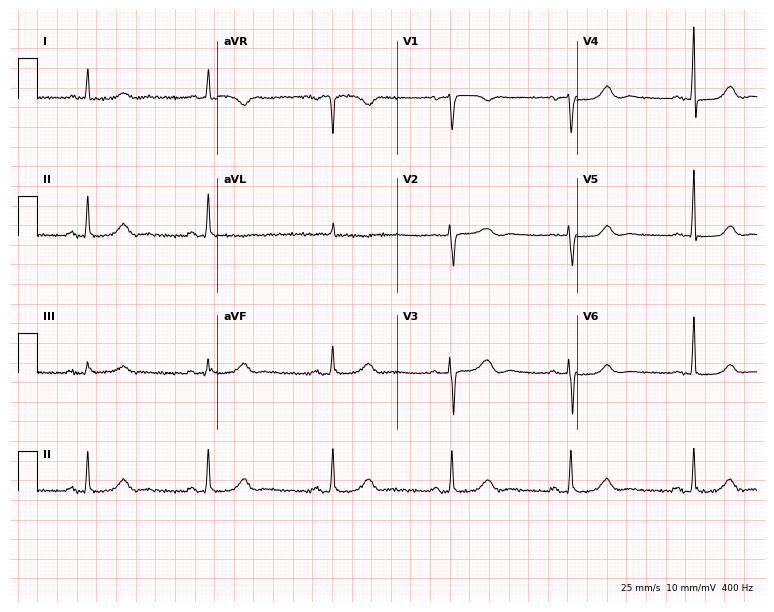
12-lead ECG from a woman, 68 years old. Labelled as a normal ECG.